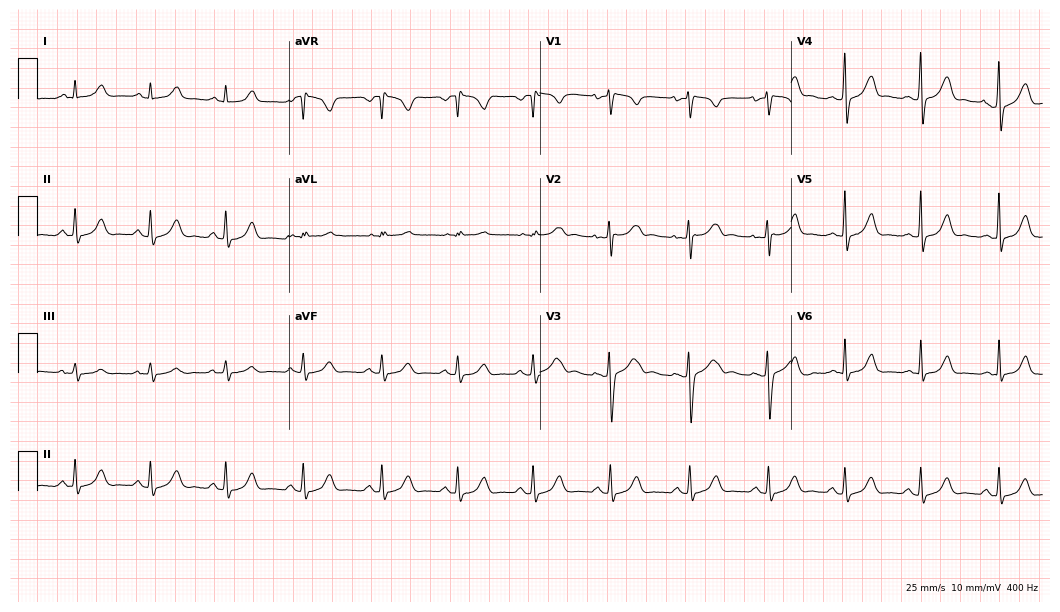
Resting 12-lead electrocardiogram. Patient: a 27-year-old woman. Read as a normal ECG.